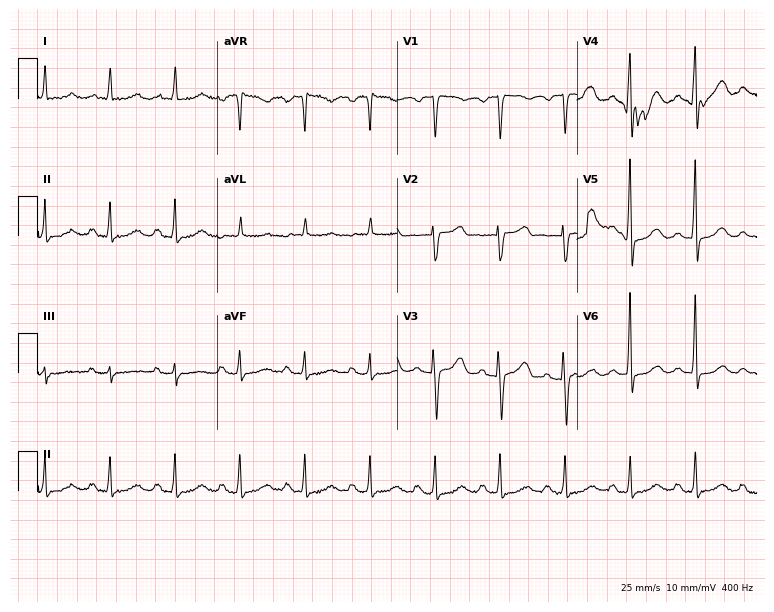
Standard 12-lead ECG recorded from a male patient, 76 years old. Read as a normal ECG.